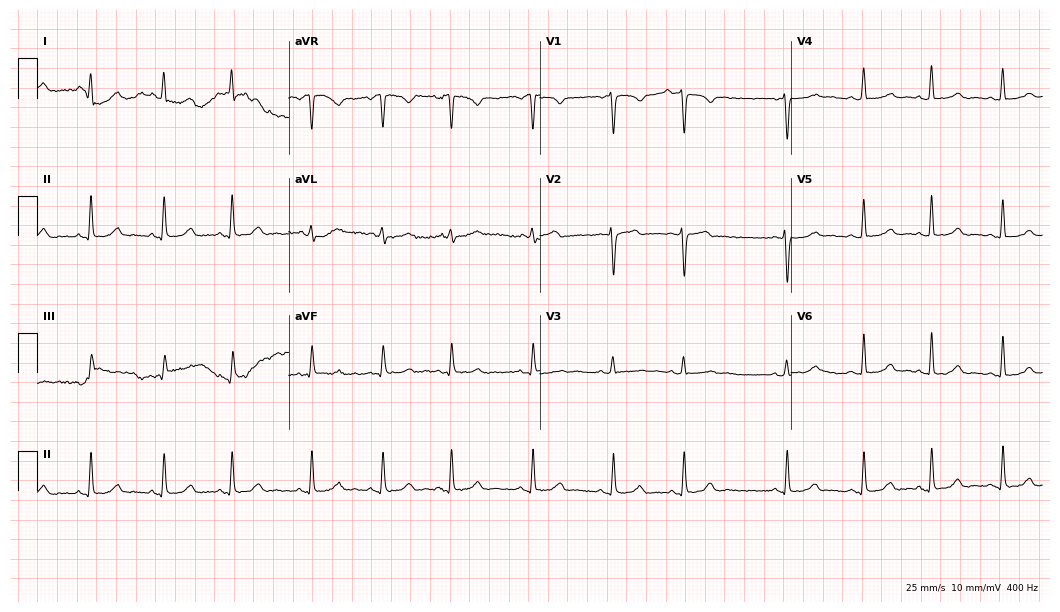
12-lead ECG (10.2-second recording at 400 Hz) from a 20-year-old female patient. Labelled as a normal ECG.